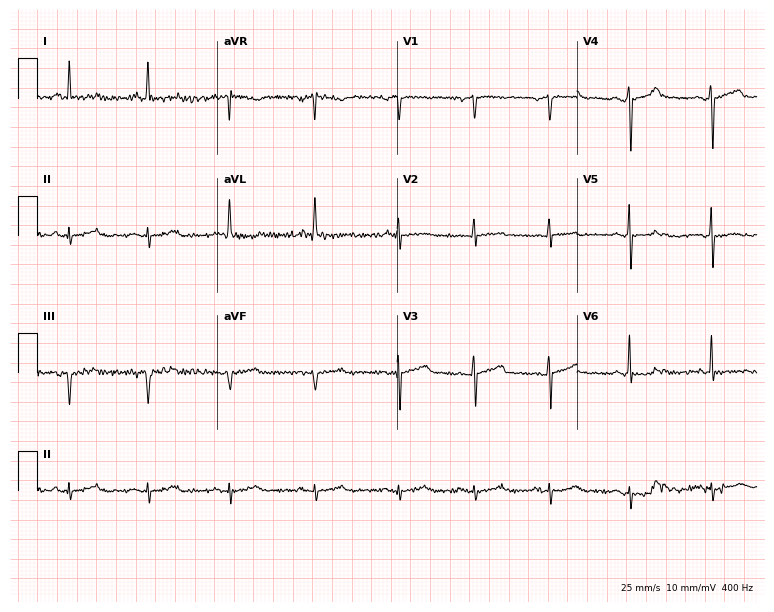
Resting 12-lead electrocardiogram (7.3-second recording at 400 Hz). Patient: a female, 55 years old. None of these six findings is recorded: first-degree AV block, right bundle branch block, left bundle branch block, sinus bradycardia, atrial fibrillation, sinus tachycardia. Other findings, if any, are not listed.